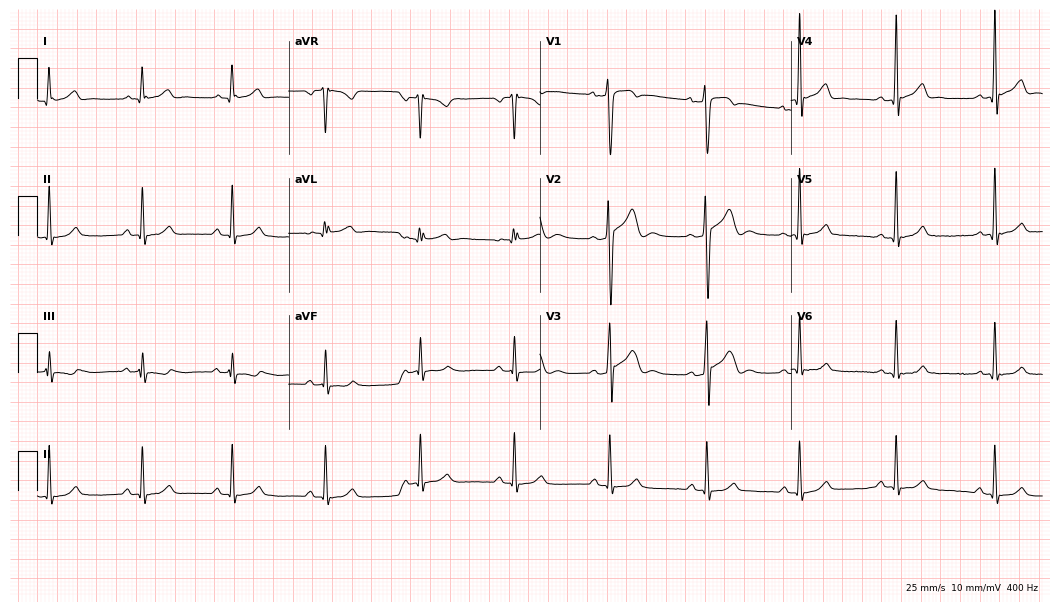
ECG (10.2-second recording at 400 Hz) — a 32-year-old male. Screened for six findings — first-degree AV block, right bundle branch block (RBBB), left bundle branch block (LBBB), sinus bradycardia, atrial fibrillation (AF), sinus tachycardia — none is recorded.